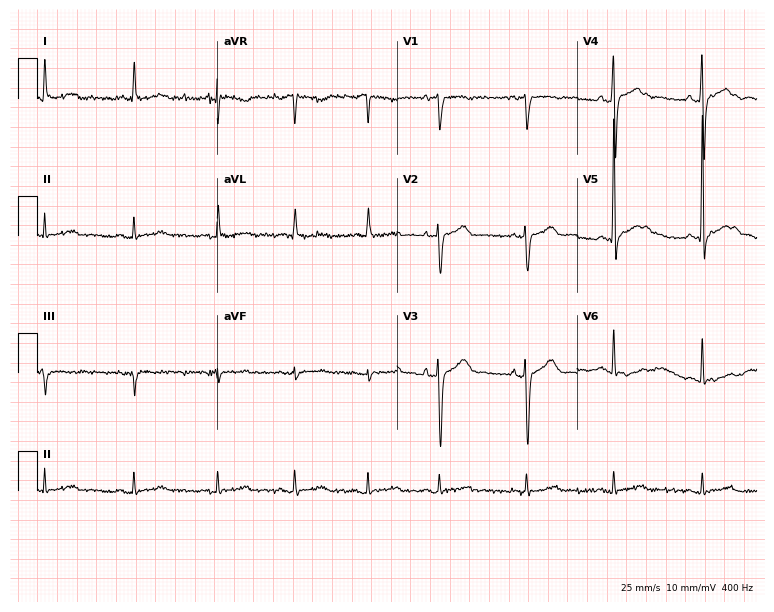
12-lead ECG from an 85-year-old woman. Screened for six findings — first-degree AV block, right bundle branch block, left bundle branch block, sinus bradycardia, atrial fibrillation, sinus tachycardia — none is recorded. Other findings, if any, are not listed.